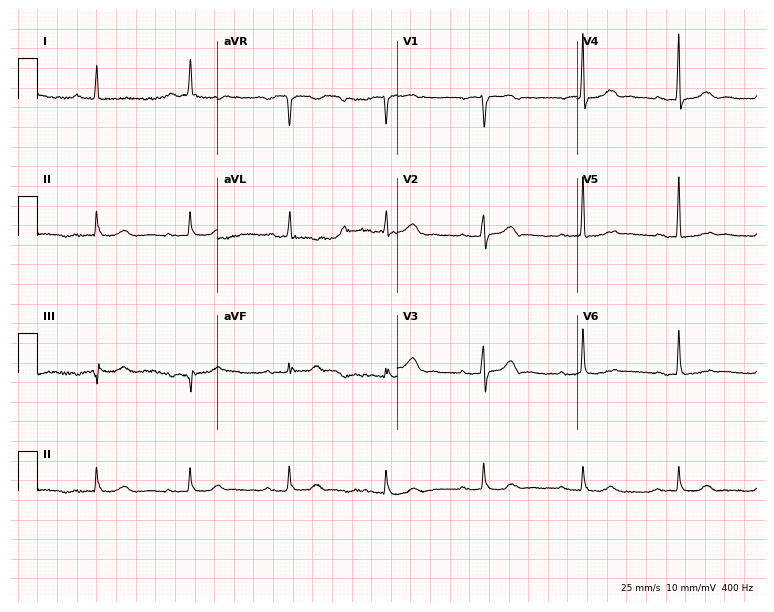
Resting 12-lead electrocardiogram (7.3-second recording at 400 Hz). Patient: a female, 65 years old. The tracing shows first-degree AV block.